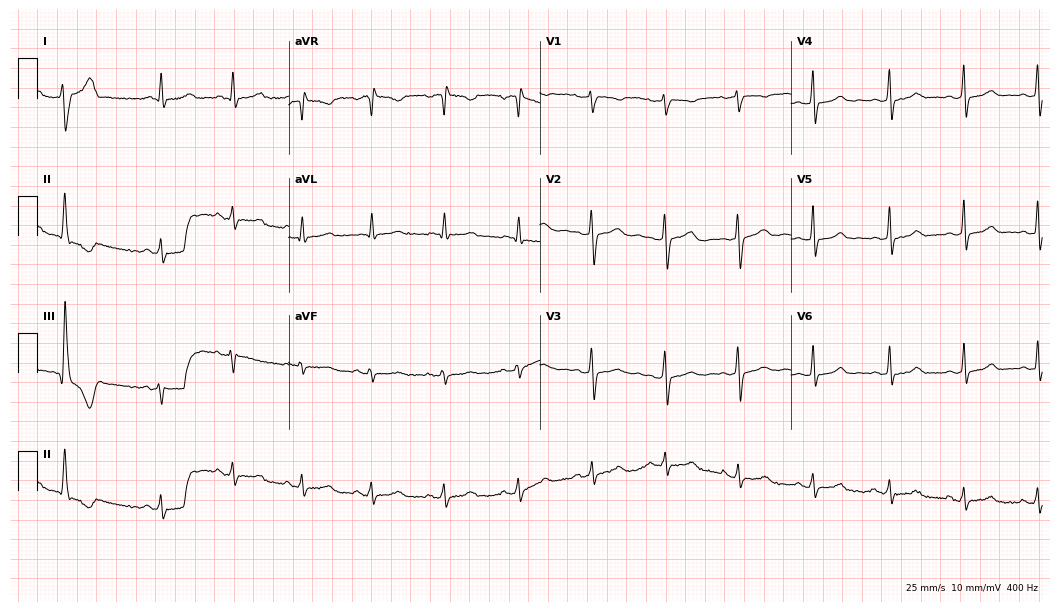
Resting 12-lead electrocardiogram (10.2-second recording at 400 Hz). Patient: a woman, 32 years old. None of these six findings is recorded: first-degree AV block, right bundle branch block, left bundle branch block, sinus bradycardia, atrial fibrillation, sinus tachycardia. Other findings, if any, are not listed.